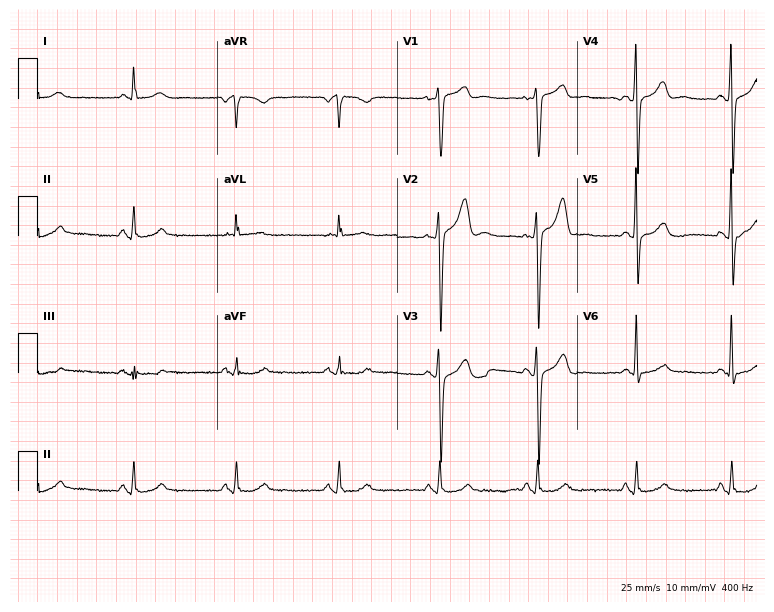
Resting 12-lead electrocardiogram. Patient: a male, 48 years old. None of these six findings is recorded: first-degree AV block, right bundle branch block, left bundle branch block, sinus bradycardia, atrial fibrillation, sinus tachycardia. Other findings, if any, are not listed.